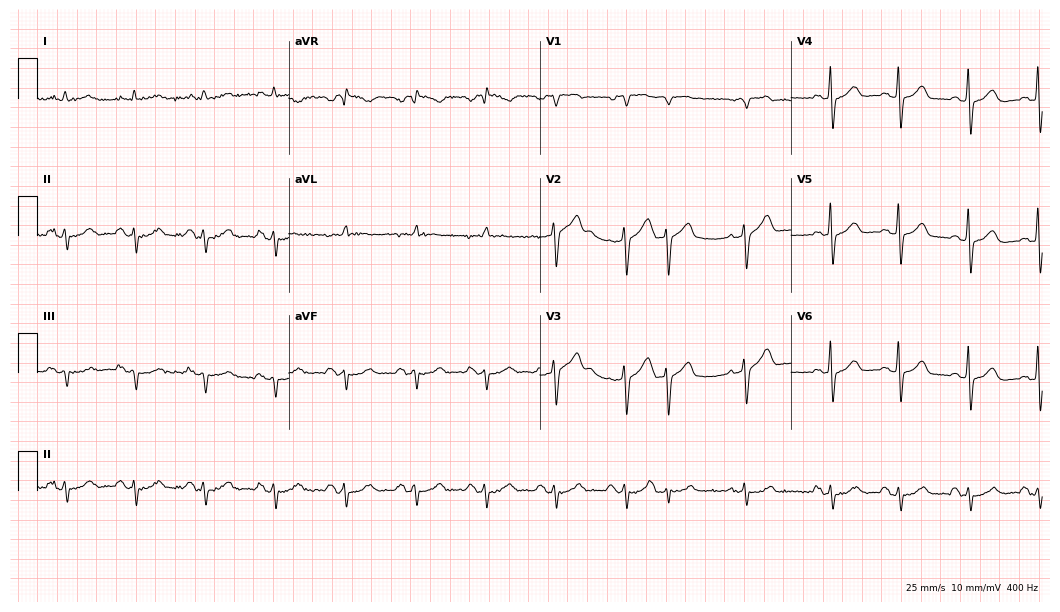
12-lead ECG from a man, 86 years old (10.2-second recording at 400 Hz). No first-degree AV block, right bundle branch block, left bundle branch block, sinus bradycardia, atrial fibrillation or sinus tachycardia recorded for this tracing.